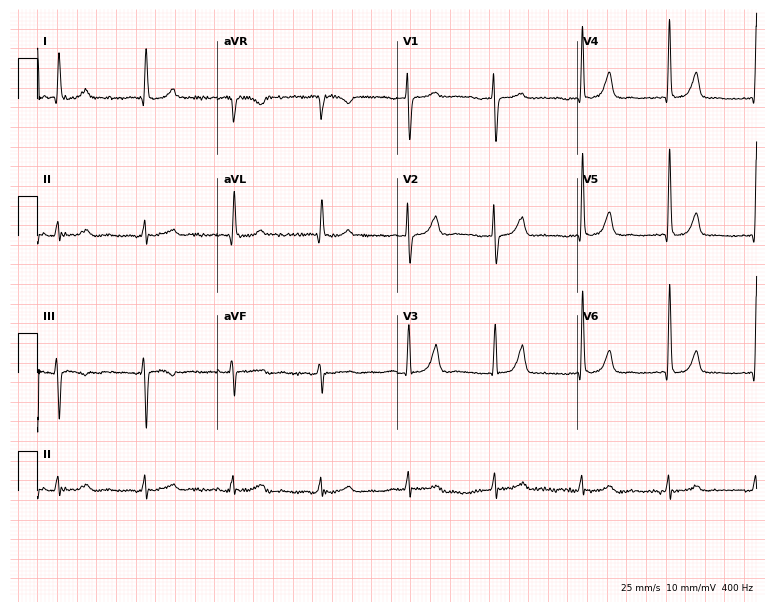
Standard 12-lead ECG recorded from a female patient, 81 years old. None of these six findings is recorded: first-degree AV block, right bundle branch block, left bundle branch block, sinus bradycardia, atrial fibrillation, sinus tachycardia. Only these six findings were labelled.